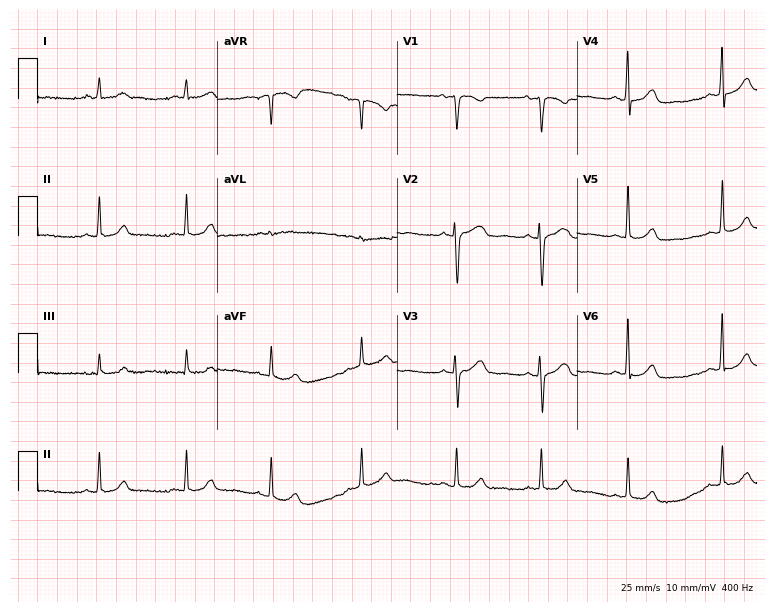
12-lead ECG (7.3-second recording at 400 Hz) from a woman, 30 years old. Labelled as a normal ECG.